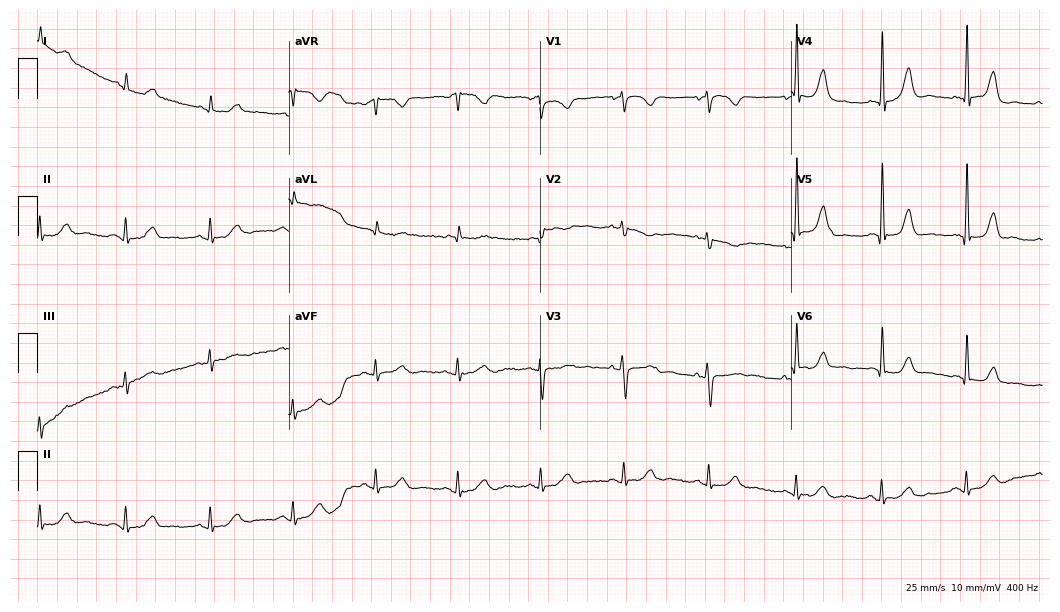
ECG (10.2-second recording at 400 Hz) — a 63-year-old female patient. Labelled as a normal ECG.